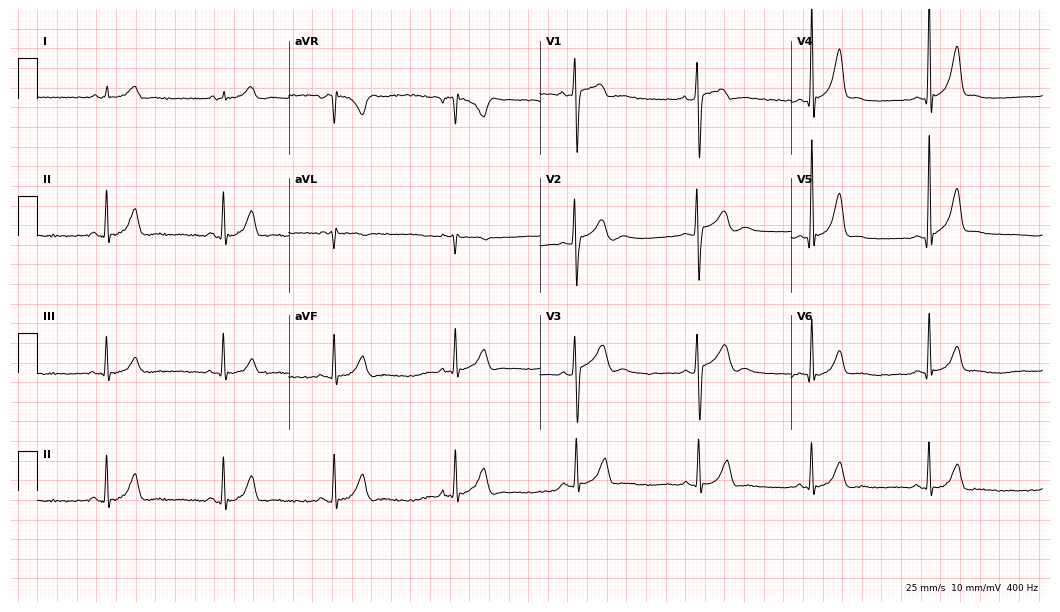
Resting 12-lead electrocardiogram (10.2-second recording at 400 Hz). Patient: a 17-year-old man. Read as a normal ECG.